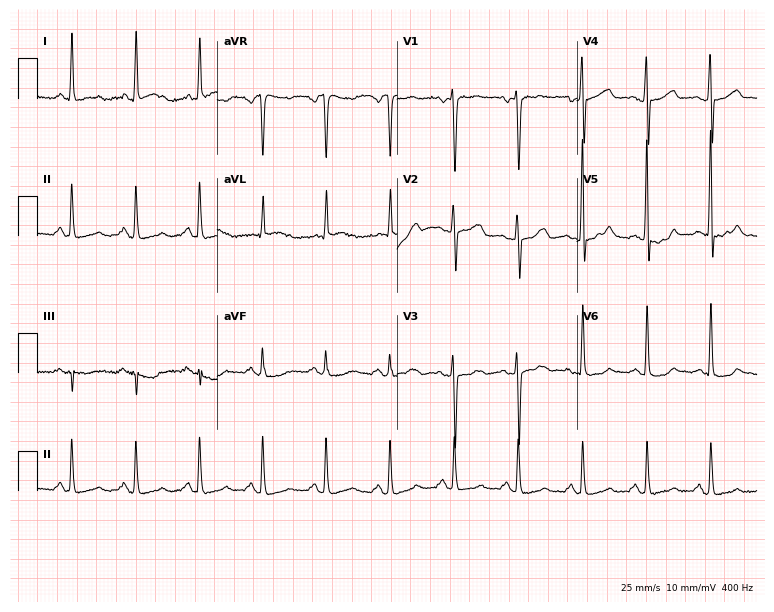
12-lead ECG from a female, 31 years old (7.3-second recording at 400 Hz). No first-degree AV block, right bundle branch block, left bundle branch block, sinus bradycardia, atrial fibrillation or sinus tachycardia recorded for this tracing. Other findings, if any, are not listed.